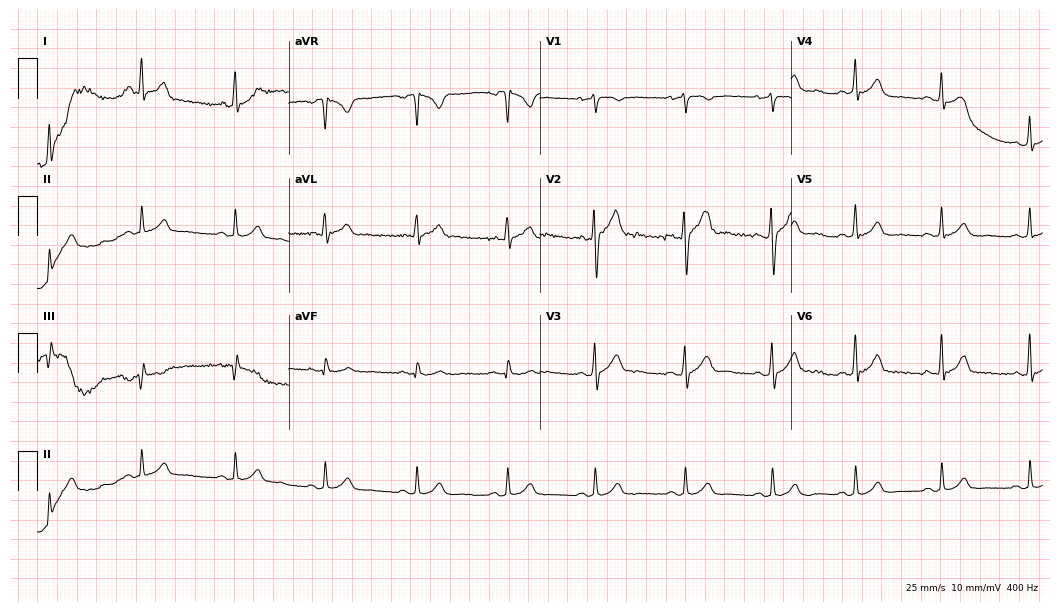
ECG (10.2-second recording at 400 Hz) — a 23-year-old man. Labelled as a normal ECG.